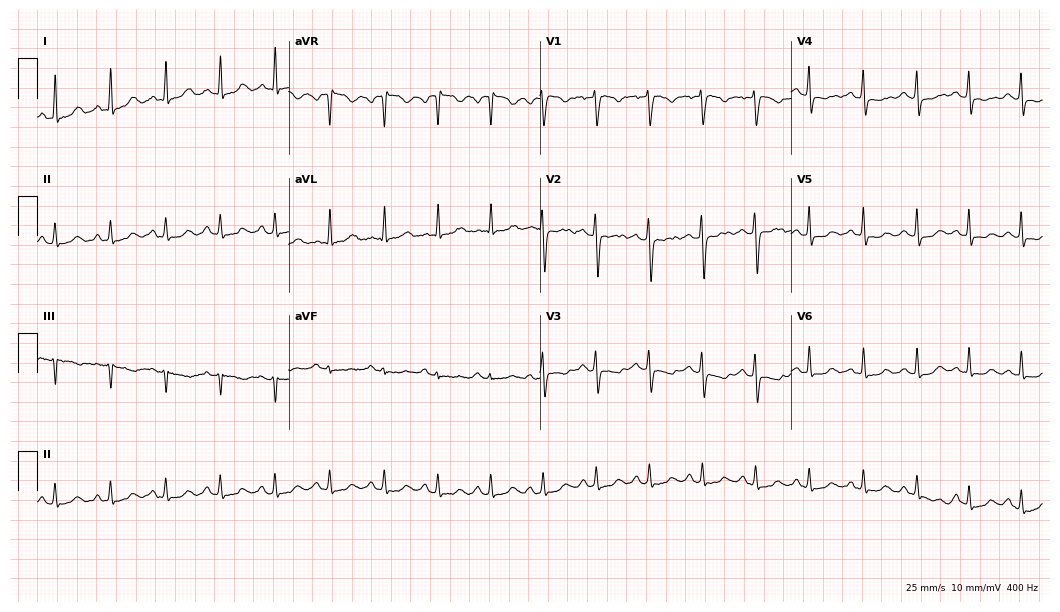
Electrocardiogram, a 55-year-old female patient. Of the six screened findings (first-degree AV block, right bundle branch block, left bundle branch block, sinus bradycardia, atrial fibrillation, sinus tachycardia), none is recorded. Other findings, if any, are not listed.